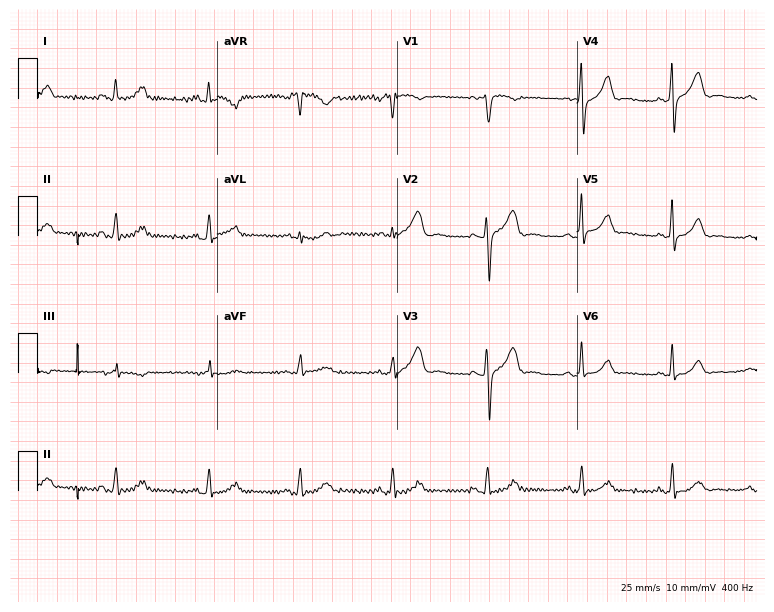
Resting 12-lead electrocardiogram (7.3-second recording at 400 Hz). Patient: a 38-year-old woman. None of these six findings is recorded: first-degree AV block, right bundle branch block, left bundle branch block, sinus bradycardia, atrial fibrillation, sinus tachycardia. Other findings, if any, are not listed.